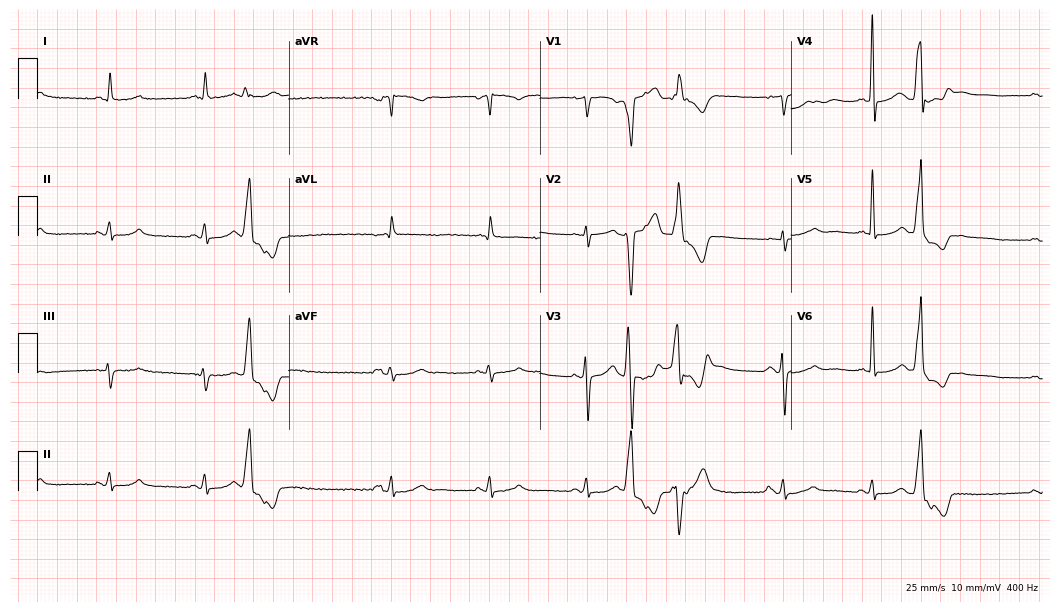
12-lead ECG from an 81-year-old male. Recorded interpretation: within normal limits.